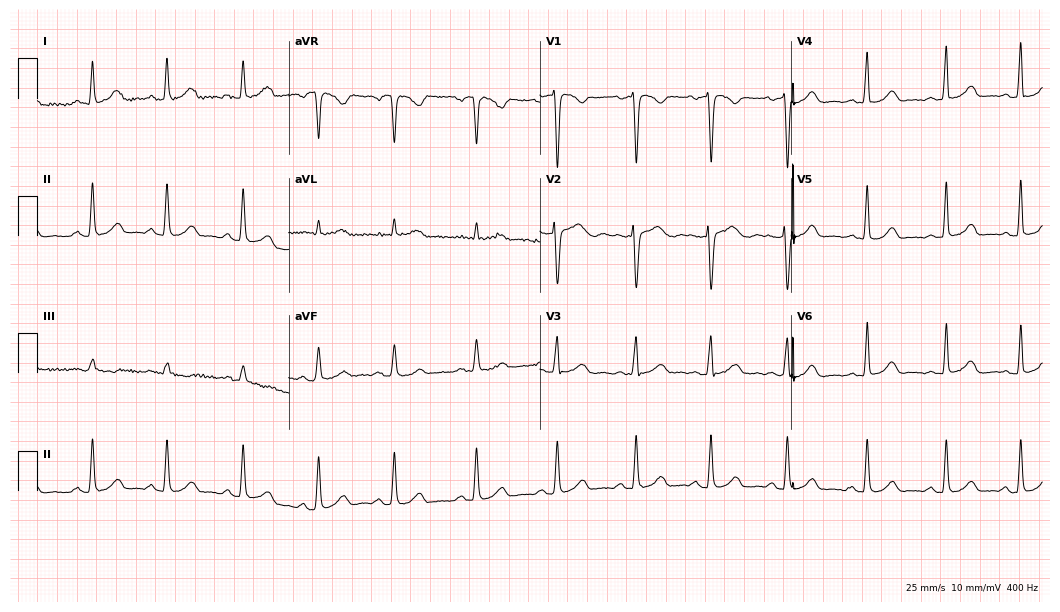
Standard 12-lead ECG recorded from a female, 45 years old (10.2-second recording at 400 Hz). Read as a normal ECG.